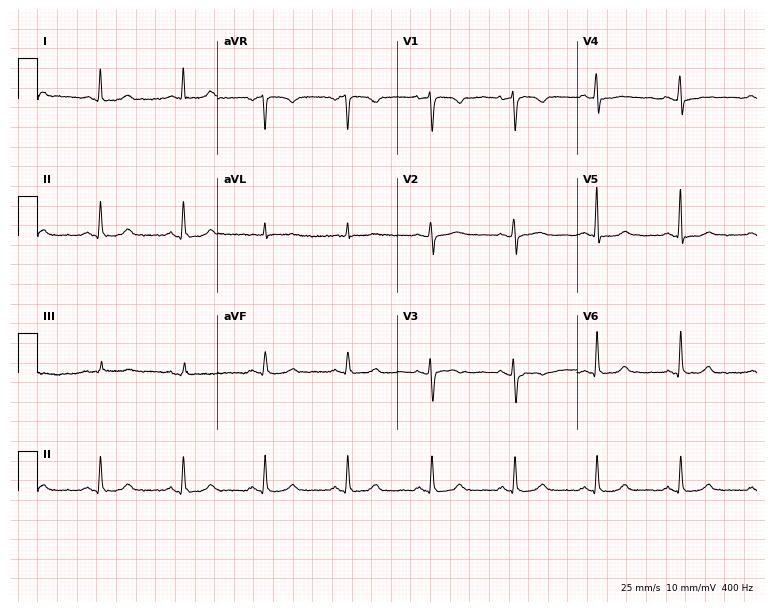
Resting 12-lead electrocardiogram (7.3-second recording at 400 Hz). Patient: a female, 42 years old. None of these six findings is recorded: first-degree AV block, right bundle branch block, left bundle branch block, sinus bradycardia, atrial fibrillation, sinus tachycardia.